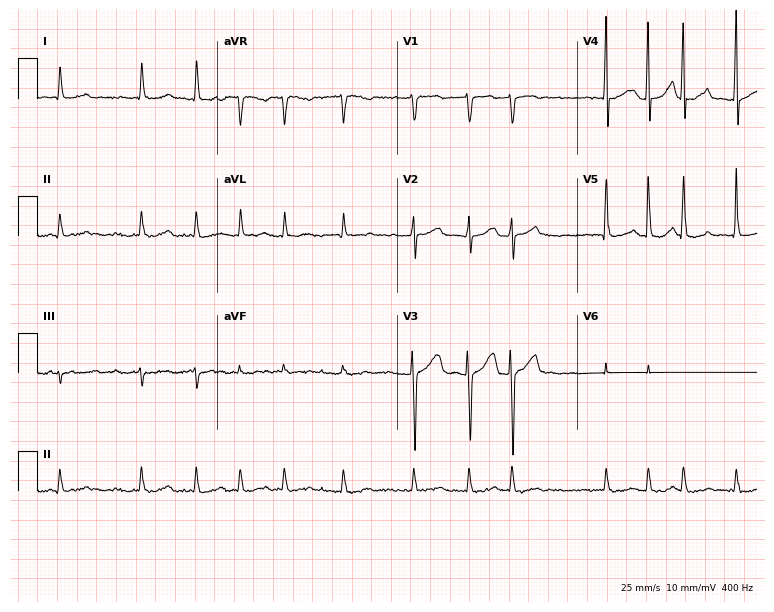
12-lead ECG (7.3-second recording at 400 Hz) from a 73-year-old woman. Findings include atrial fibrillation.